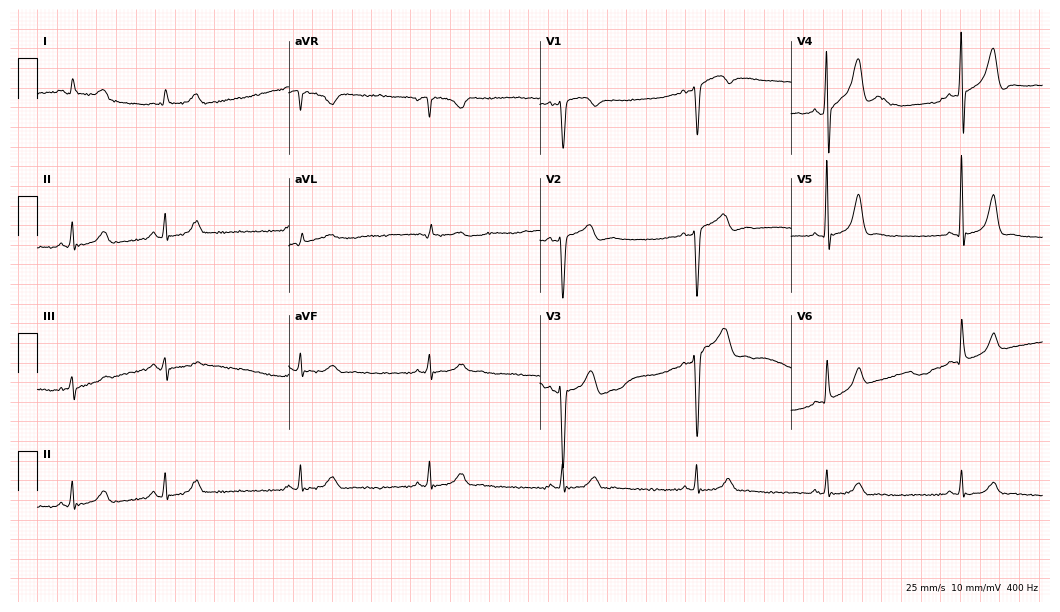
ECG — a man, 54 years old. Findings include sinus bradycardia (a sinus rate of 50 beats per minute or less).